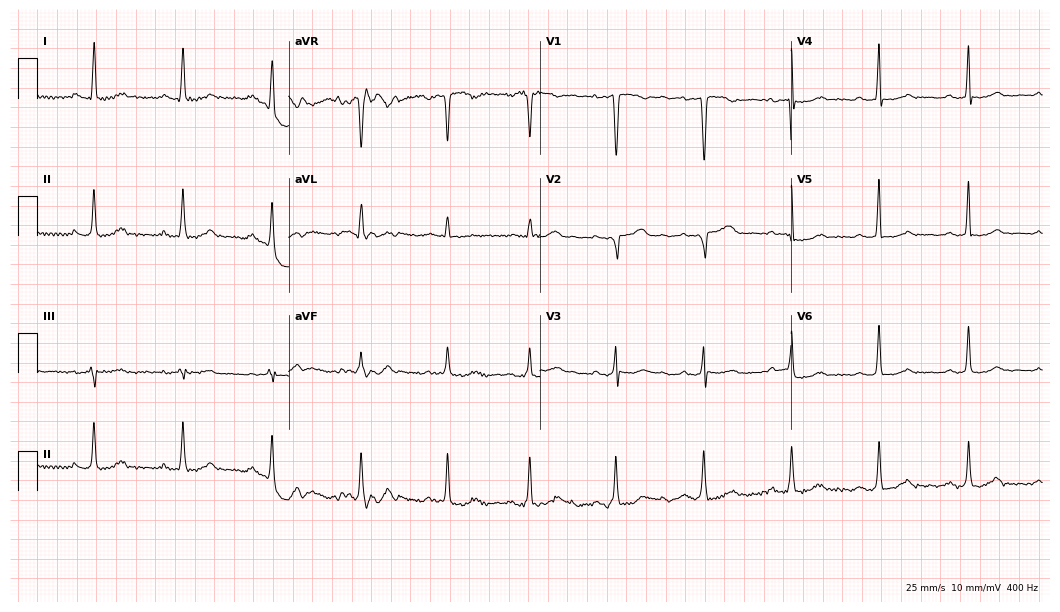
Electrocardiogram (10.2-second recording at 400 Hz), a female patient, 64 years old. Of the six screened findings (first-degree AV block, right bundle branch block (RBBB), left bundle branch block (LBBB), sinus bradycardia, atrial fibrillation (AF), sinus tachycardia), none is recorded. Only these six findings were labelled.